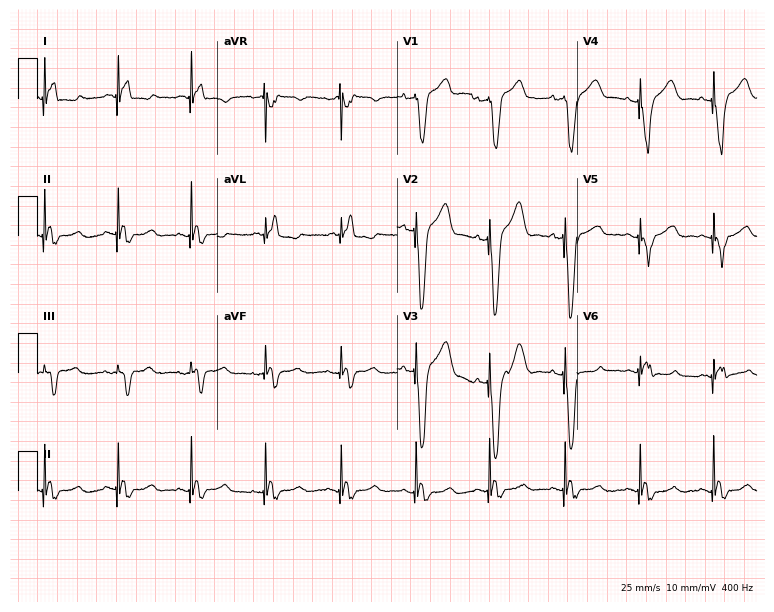
Resting 12-lead electrocardiogram. Patient: a female, 73 years old. None of these six findings is recorded: first-degree AV block, right bundle branch block, left bundle branch block, sinus bradycardia, atrial fibrillation, sinus tachycardia.